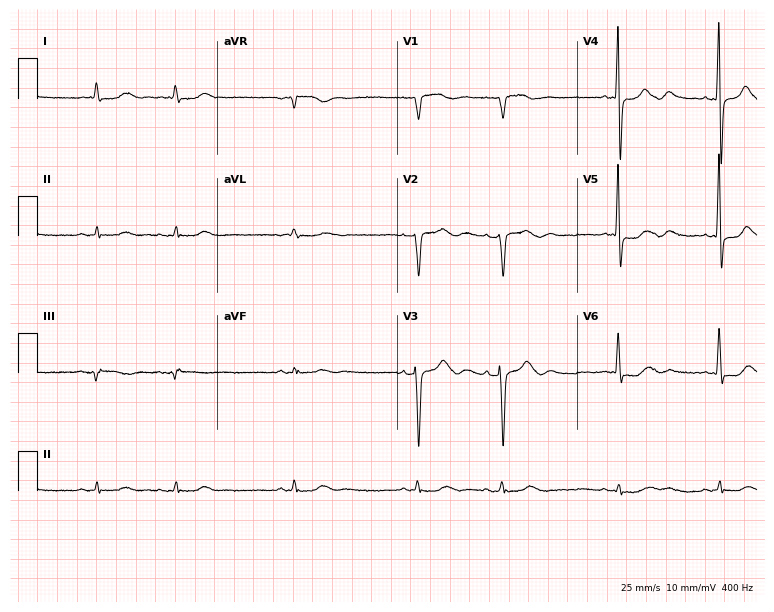
ECG (7.3-second recording at 400 Hz) — a 78-year-old male patient. Findings include atrial fibrillation.